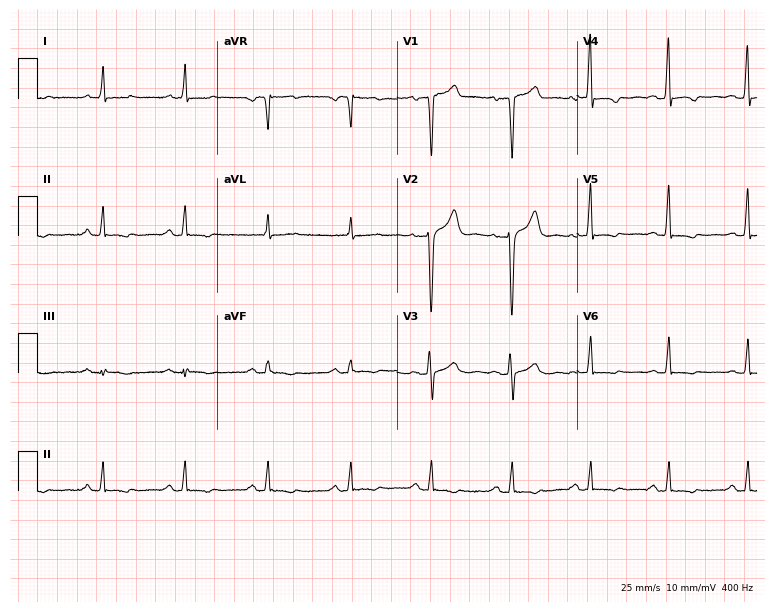
12-lead ECG from a male patient, 50 years old (7.3-second recording at 400 Hz). No first-degree AV block, right bundle branch block, left bundle branch block, sinus bradycardia, atrial fibrillation or sinus tachycardia recorded for this tracing. Only these six findings were labelled.